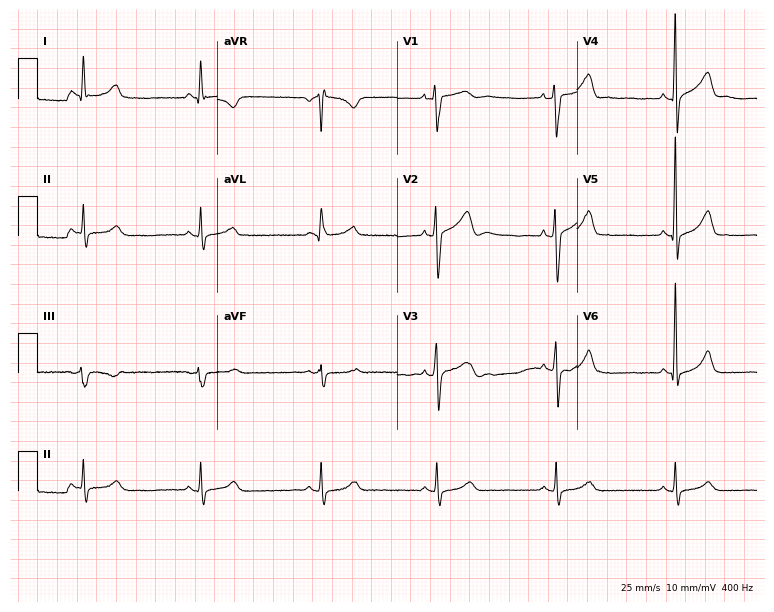
12-lead ECG from a male, 49 years old (7.3-second recording at 400 Hz). Shows sinus bradycardia (a sinus rate of 50 beats per minute or less).